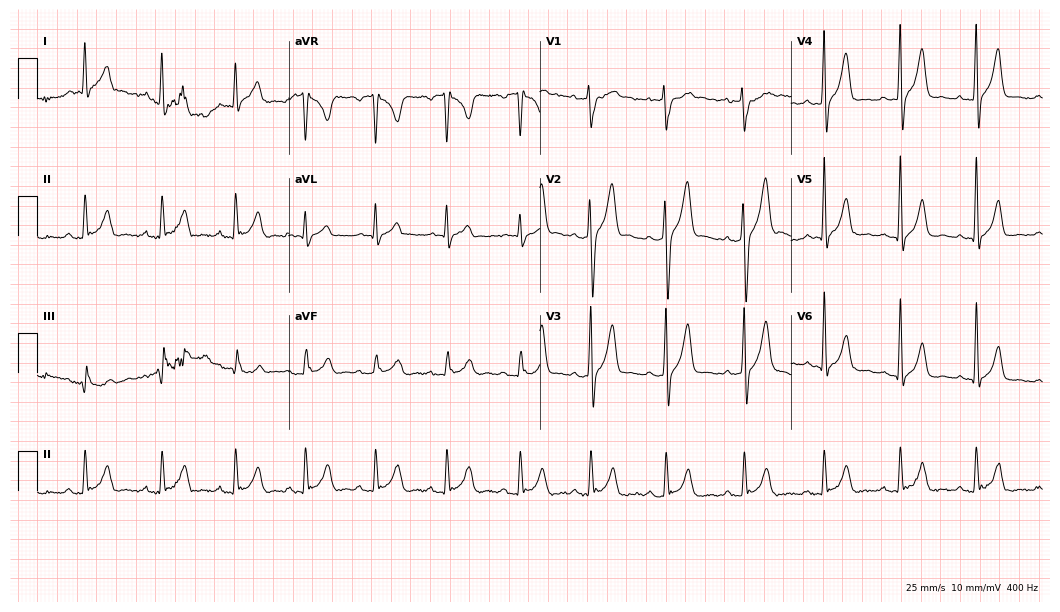
Electrocardiogram (10.2-second recording at 400 Hz), a 37-year-old male. Overall reading on record: normal ECG.